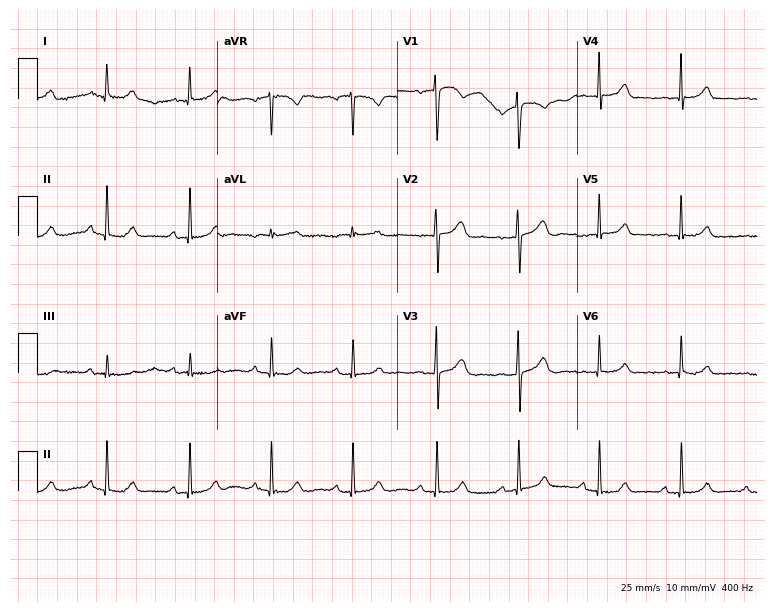
Resting 12-lead electrocardiogram. Patient: a woman, 44 years old. Read as a normal ECG.